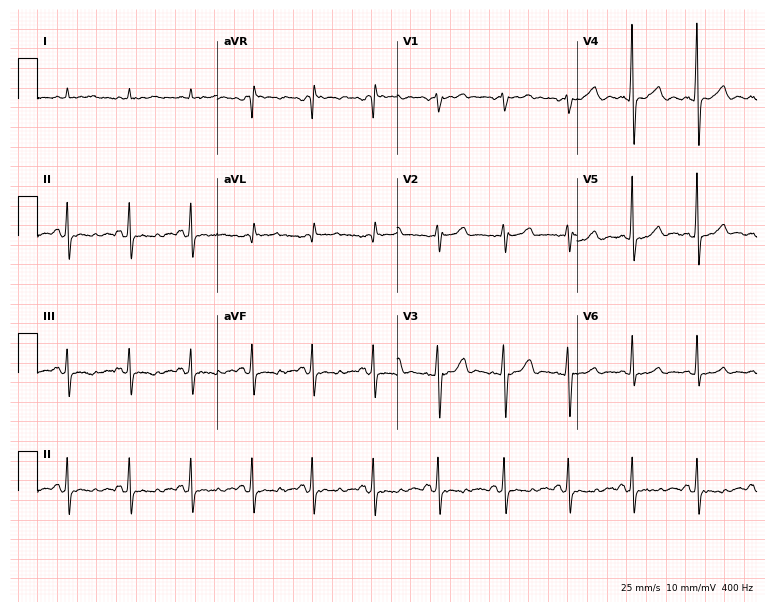
12-lead ECG from a 52-year-old man. No first-degree AV block, right bundle branch block, left bundle branch block, sinus bradycardia, atrial fibrillation or sinus tachycardia recorded for this tracing. Findings outside these six are not listed.